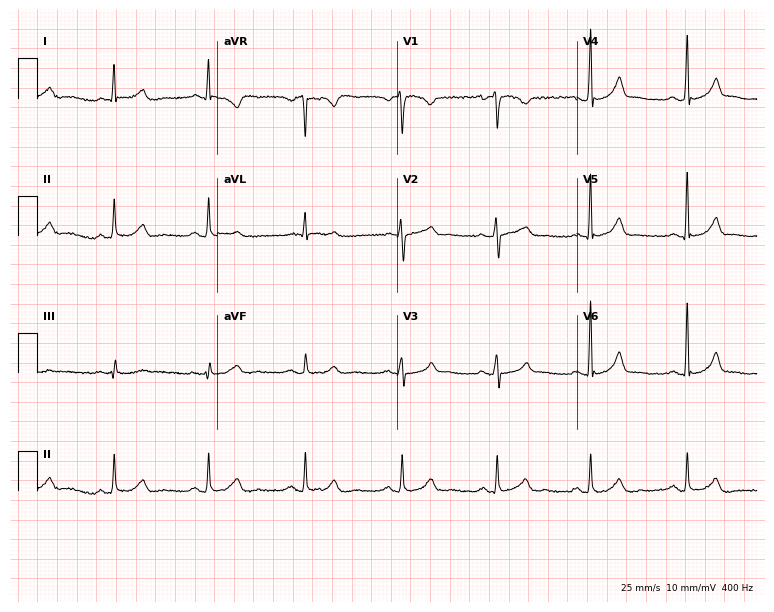
12-lead ECG from a 45-year-old woman. Recorded interpretation: within normal limits.